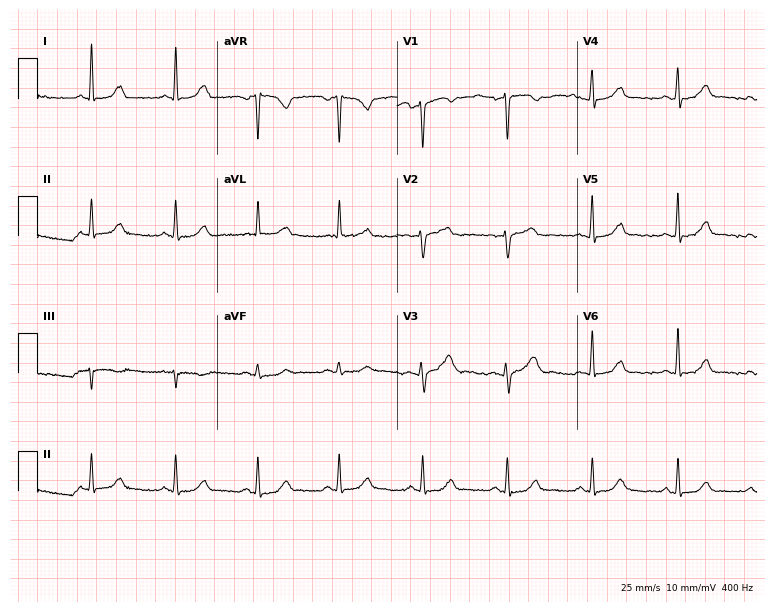
Resting 12-lead electrocardiogram (7.3-second recording at 400 Hz). Patient: a female, 46 years old. None of these six findings is recorded: first-degree AV block, right bundle branch block, left bundle branch block, sinus bradycardia, atrial fibrillation, sinus tachycardia.